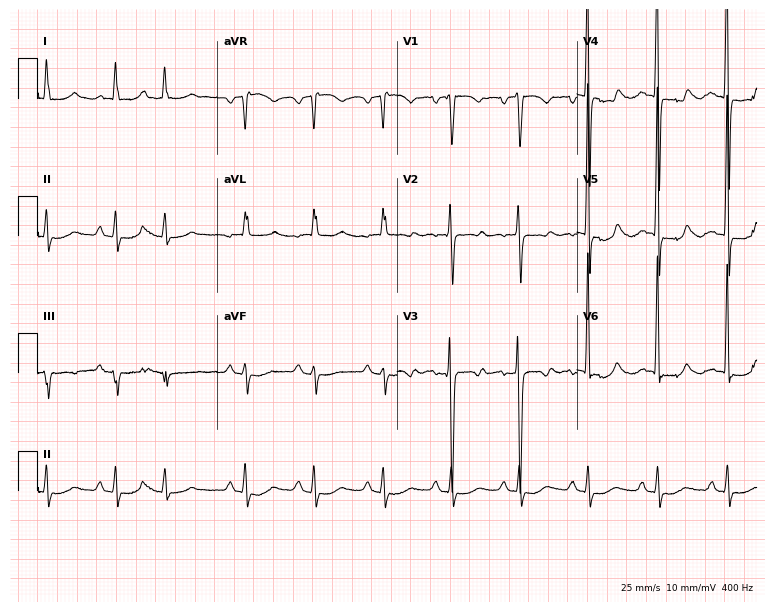
ECG — a male, 74 years old. Screened for six findings — first-degree AV block, right bundle branch block (RBBB), left bundle branch block (LBBB), sinus bradycardia, atrial fibrillation (AF), sinus tachycardia — none is recorded.